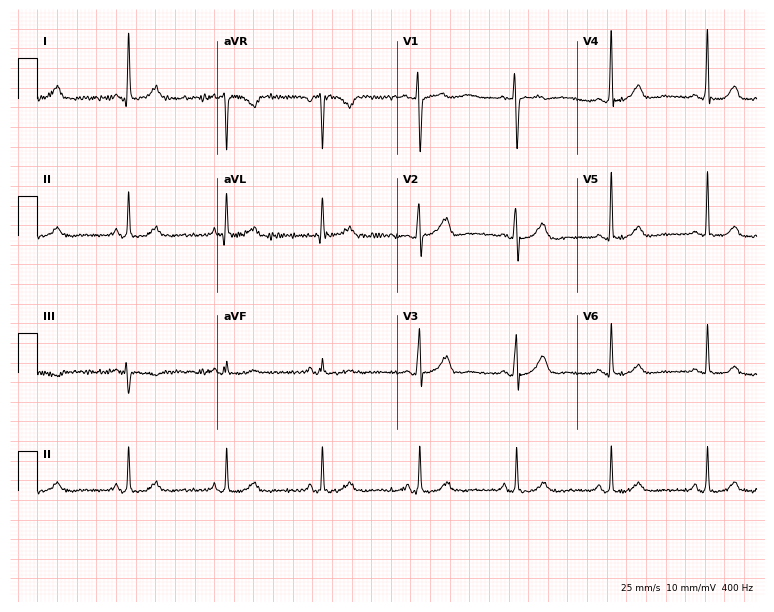
12-lead ECG (7.3-second recording at 400 Hz) from a 50-year-old woman. Screened for six findings — first-degree AV block, right bundle branch block, left bundle branch block, sinus bradycardia, atrial fibrillation, sinus tachycardia — none is recorded. Findings outside these six are not listed.